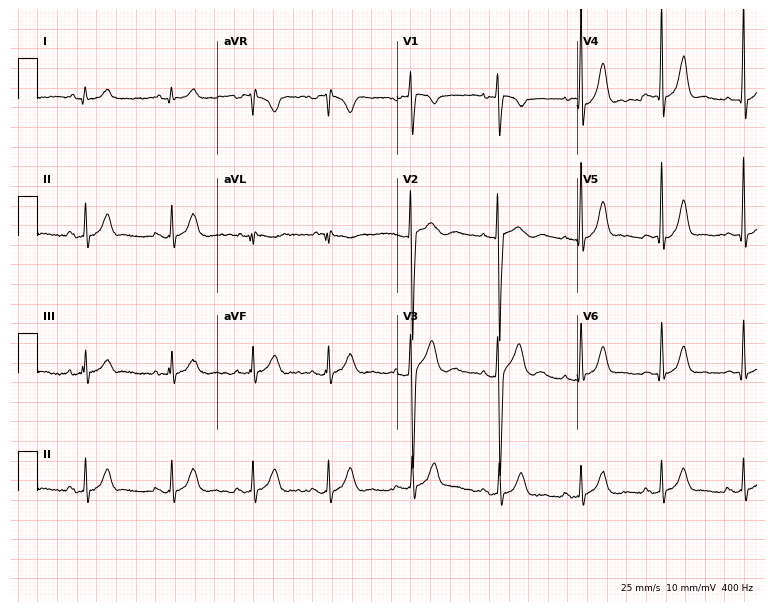
Electrocardiogram (7.3-second recording at 400 Hz), a male patient, 19 years old. Overall reading on record: normal ECG.